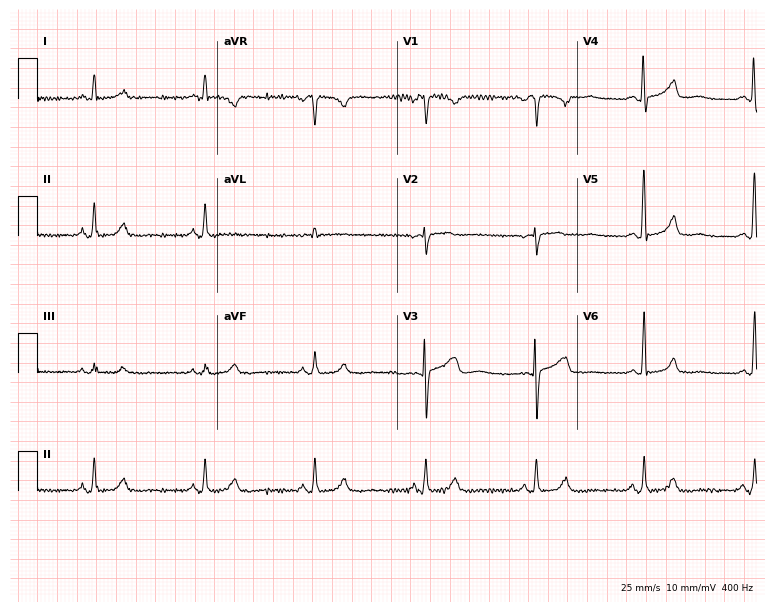
Resting 12-lead electrocardiogram. Patient: a 59-year-old woman. None of these six findings is recorded: first-degree AV block, right bundle branch block (RBBB), left bundle branch block (LBBB), sinus bradycardia, atrial fibrillation (AF), sinus tachycardia.